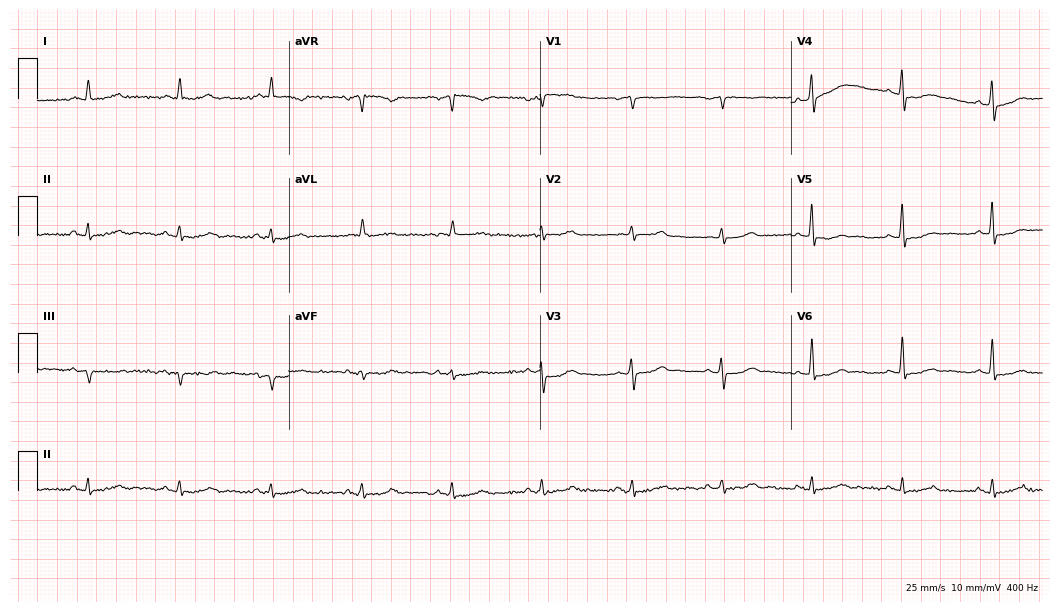
12-lead ECG from a male, 76 years old. No first-degree AV block, right bundle branch block (RBBB), left bundle branch block (LBBB), sinus bradycardia, atrial fibrillation (AF) or sinus tachycardia recorded for this tracing. Findings outside these six are not listed.